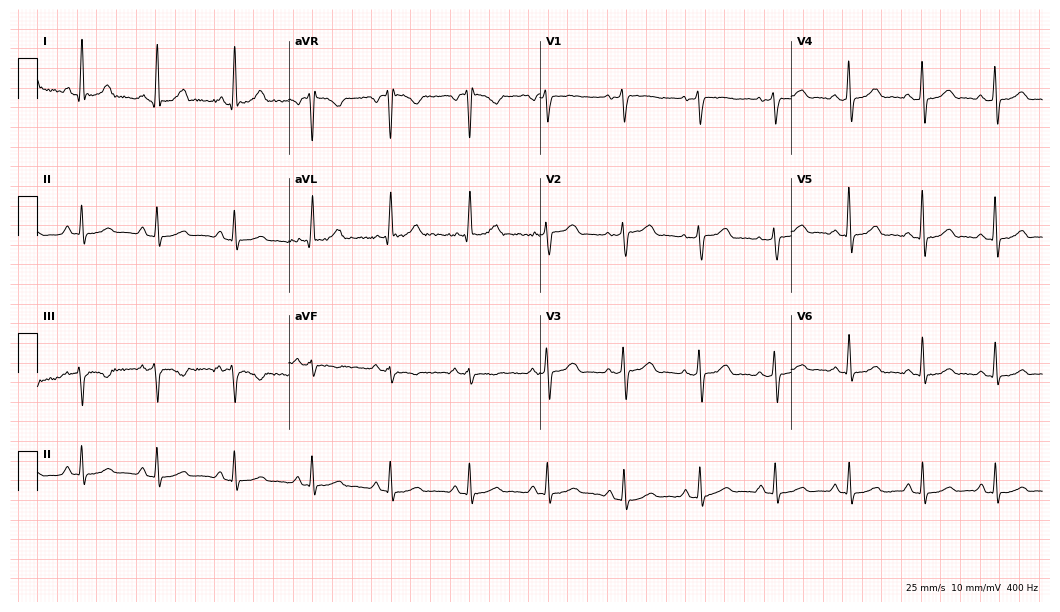
Electrocardiogram, a 48-year-old female patient. Overall reading on record: normal ECG.